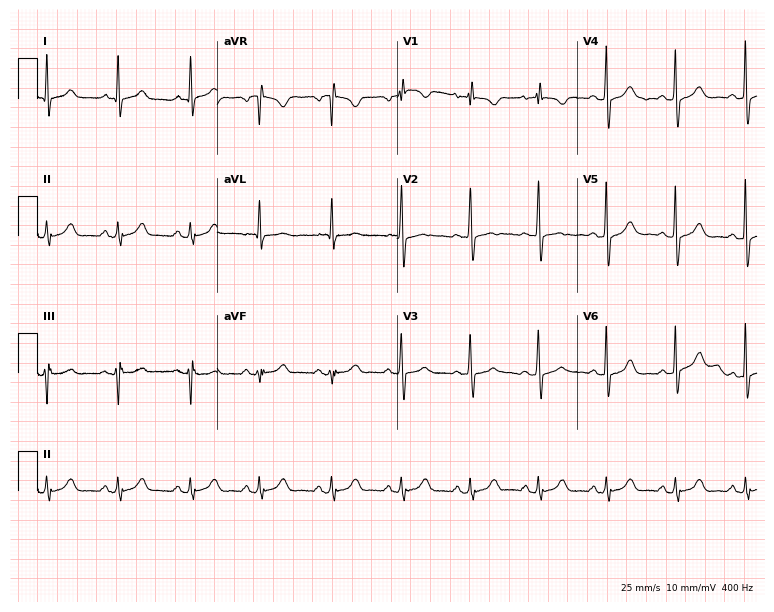
ECG (7.3-second recording at 400 Hz) — a 56-year-old female. Screened for six findings — first-degree AV block, right bundle branch block, left bundle branch block, sinus bradycardia, atrial fibrillation, sinus tachycardia — none is recorded.